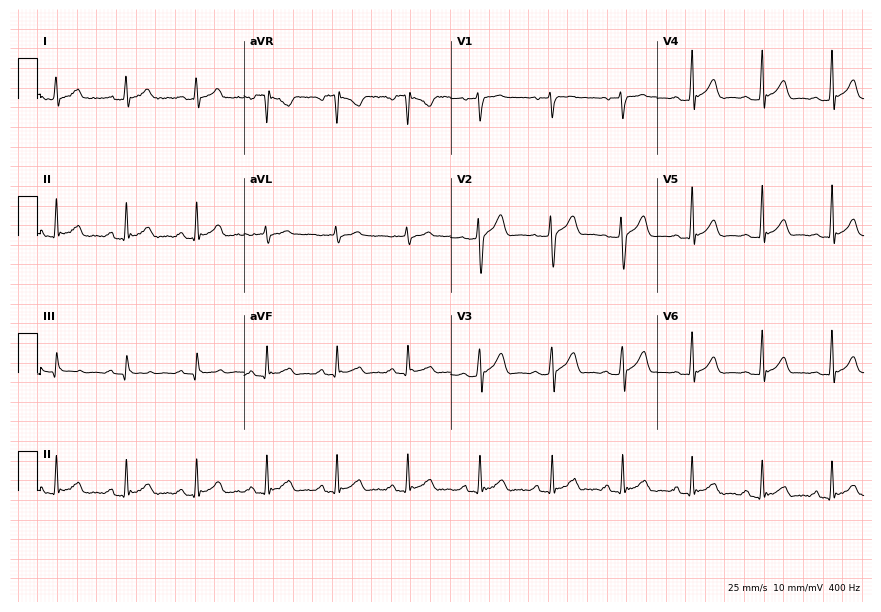
Standard 12-lead ECG recorded from a man, 21 years old (8.4-second recording at 400 Hz). Read as a normal ECG.